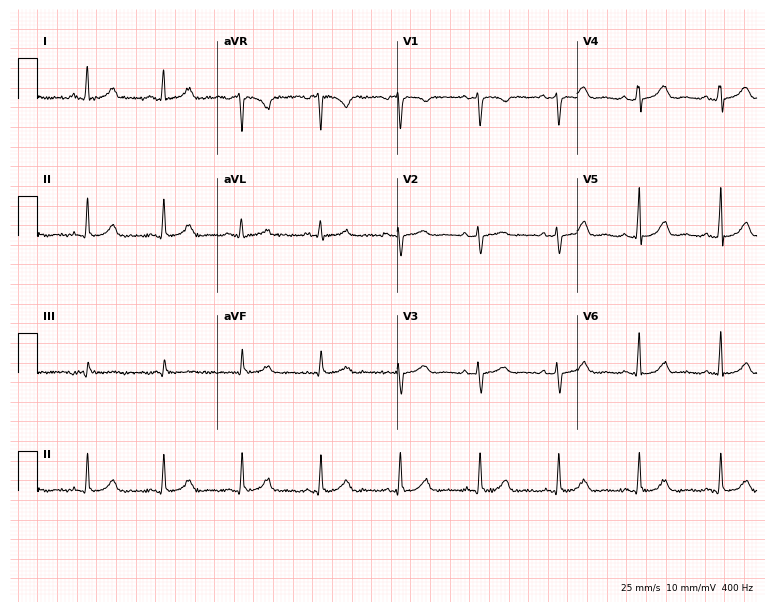
12-lead ECG from a 44-year-old female (7.3-second recording at 400 Hz). Recorded interpretation: within normal limits.